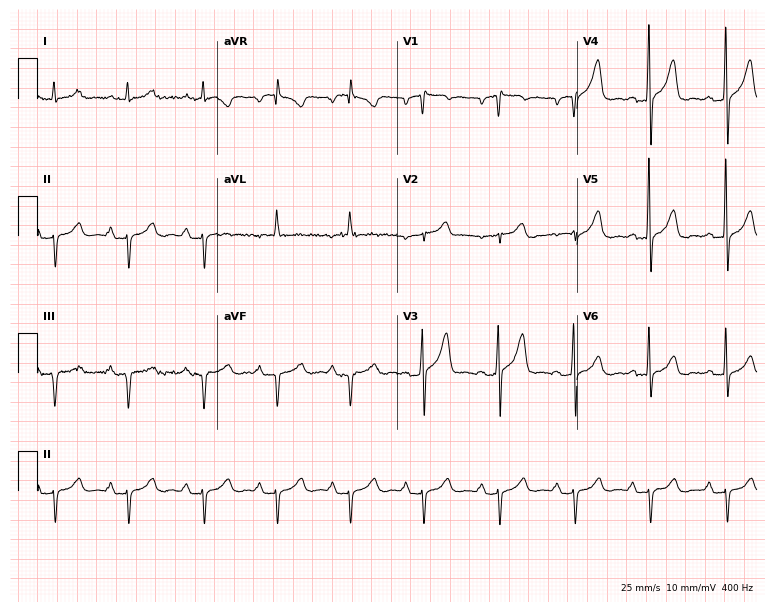
12-lead ECG from a 55-year-old male (7.3-second recording at 400 Hz). No first-degree AV block, right bundle branch block (RBBB), left bundle branch block (LBBB), sinus bradycardia, atrial fibrillation (AF) or sinus tachycardia recorded for this tracing.